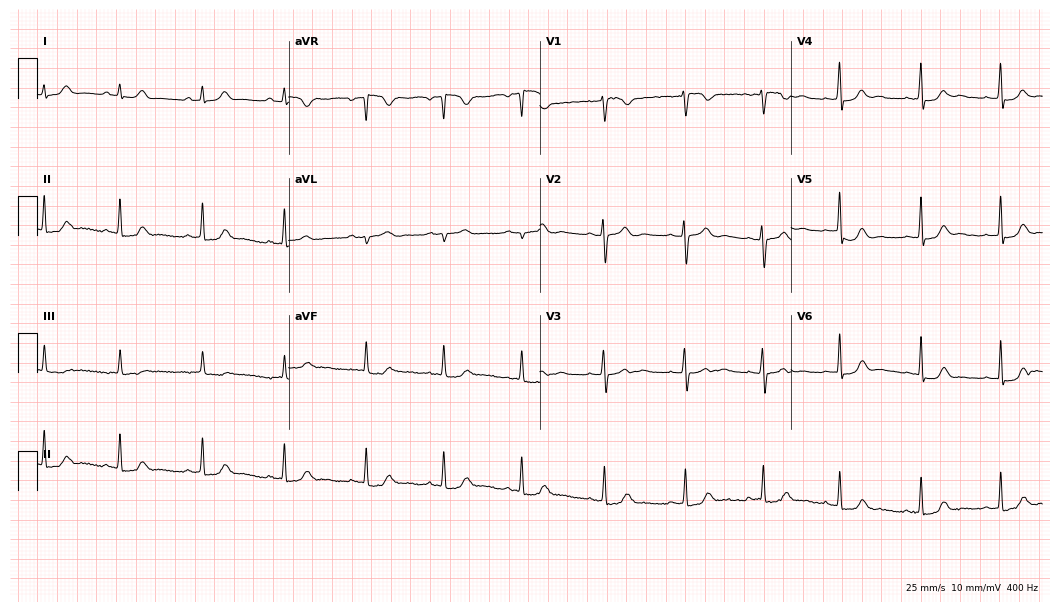
Electrocardiogram (10.2-second recording at 400 Hz), a 21-year-old female. Of the six screened findings (first-degree AV block, right bundle branch block, left bundle branch block, sinus bradycardia, atrial fibrillation, sinus tachycardia), none is recorded.